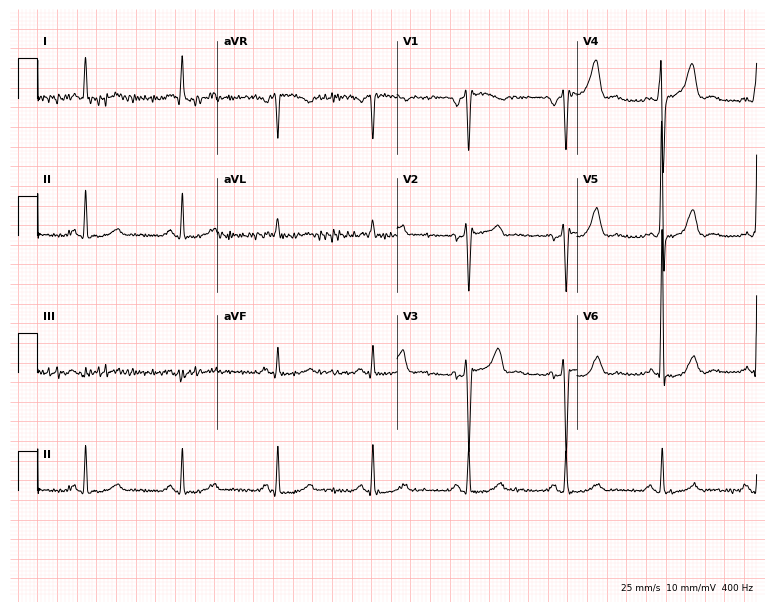
Resting 12-lead electrocardiogram (7.3-second recording at 400 Hz). Patient: a man, 72 years old. Read as a normal ECG.